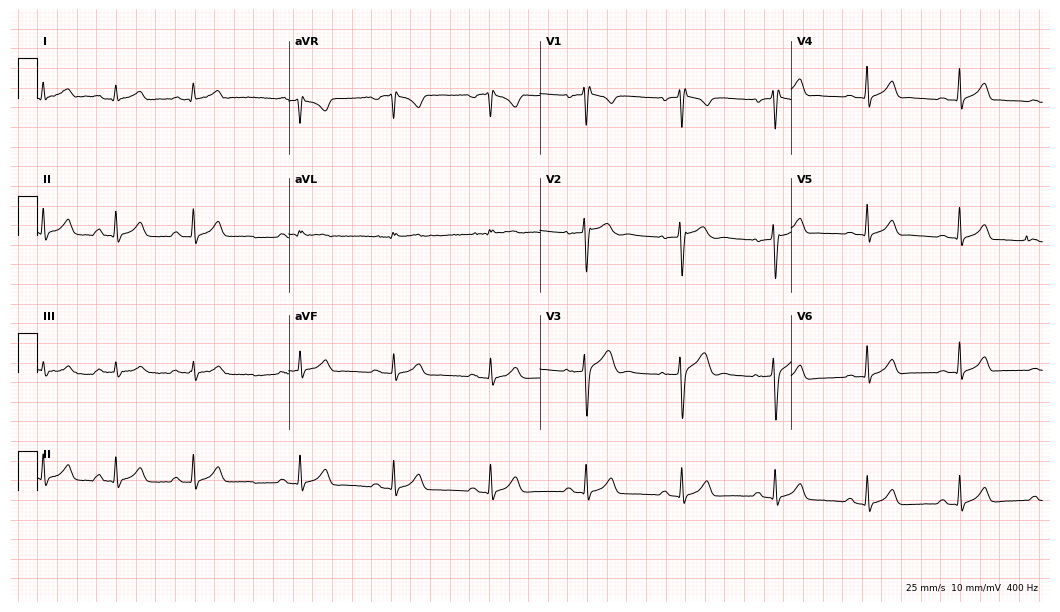
12-lead ECG from a man, 24 years old. Labelled as a normal ECG.